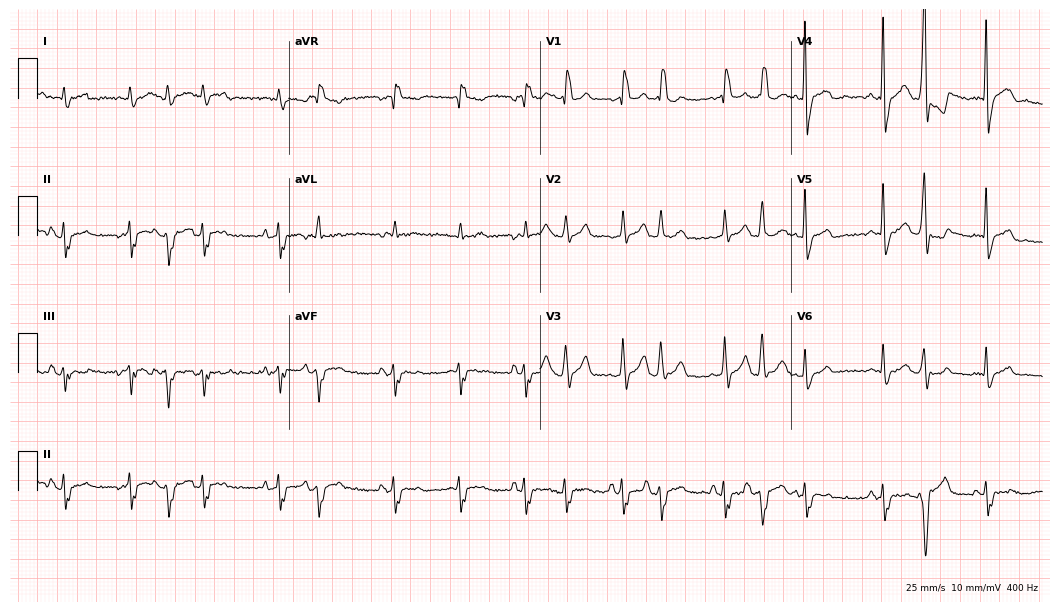
ECG — a 77-year-old man. Screened for six findings — first-degree AV block, right bundle branch block, left bundle branch block, sinus bradycardia, atrial fibrillation, sinus tachycardia — none is recorded. Only these six findings were labelled.